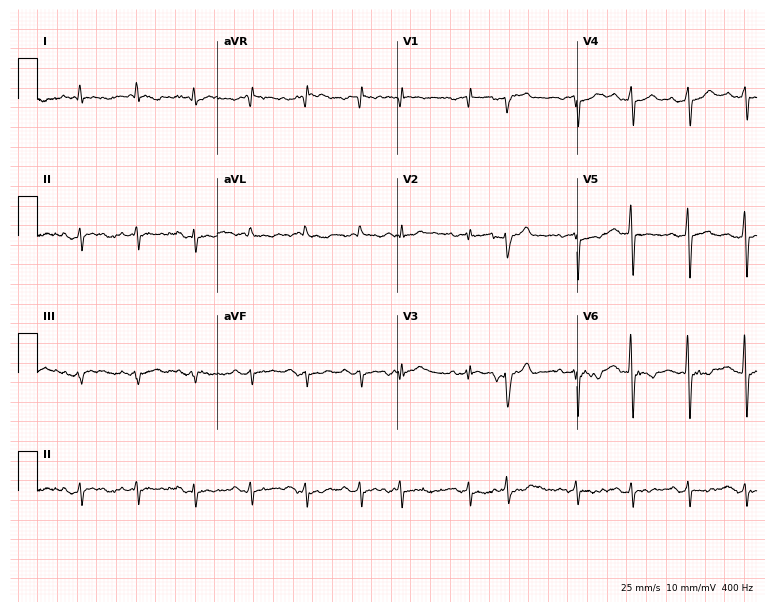
Standard 12-lead ECG recorded from an 80-year-old man. None of these six findings is recorded: first-degree AV block, right bundle branch block, left bundle branch block, sinus bradycardia, atrial fibrillation, sinus tachycardia.